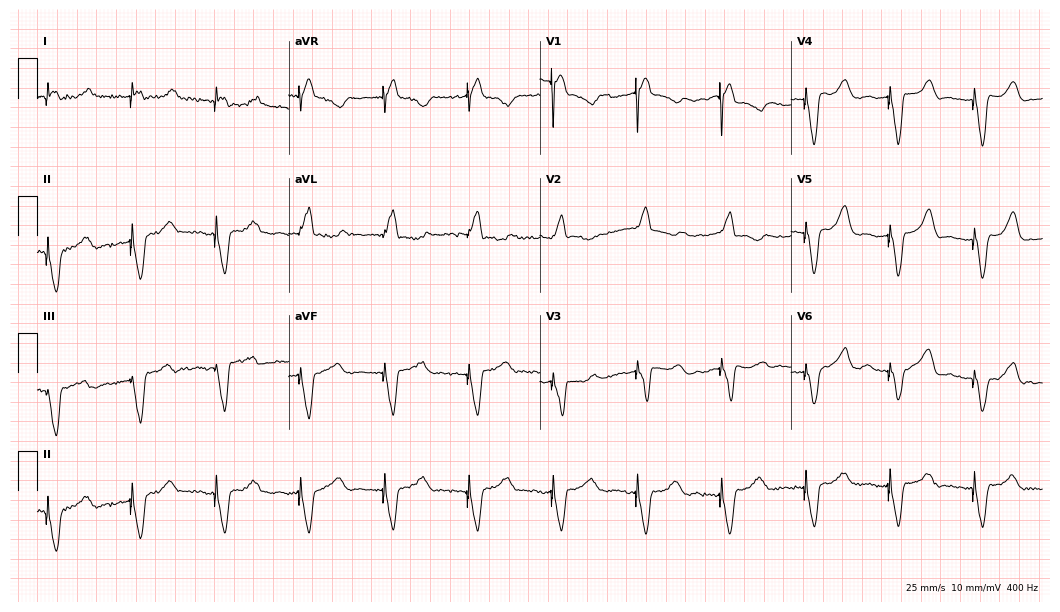
Resting 12-lead electrocardiogram. Patient: a woman, 84 years old. None of these six findings is recorded: first-degree AV block, right bundle branch block, left bundle branch block, sinus bradycardia, atrial fibrillation, sinus tachycardia.